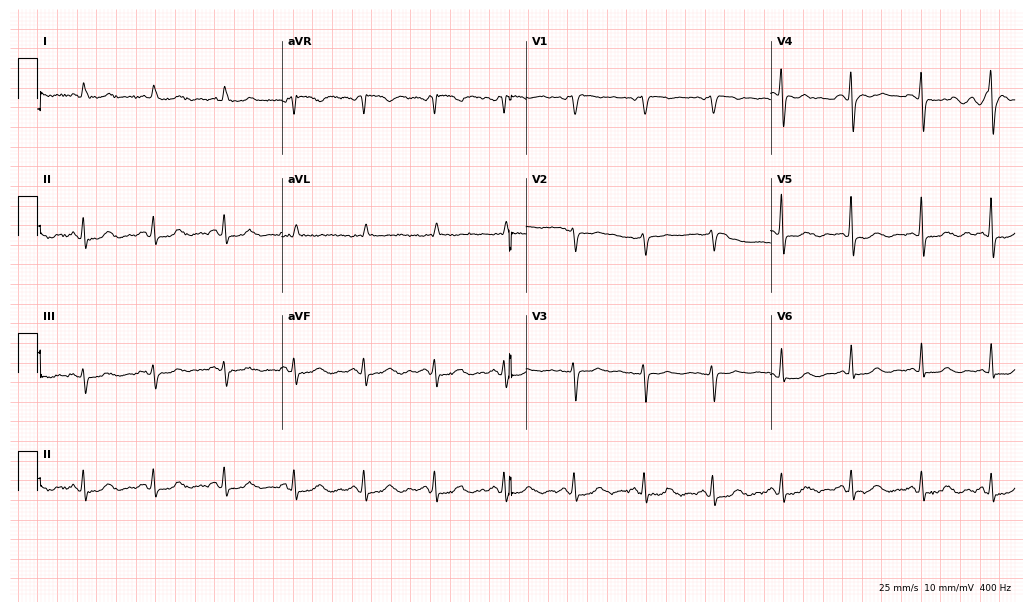
Electrocardiogram (10-second recording at 400 Hz), a female patient, 77 years old. Of the six screened findings (first-degree AV block, right bundle branch block, left bundle branch block, sinus bradycardia, atrial fibrillation, sinus tachycardia), none is recorded. Other findings, if any, are not listed.